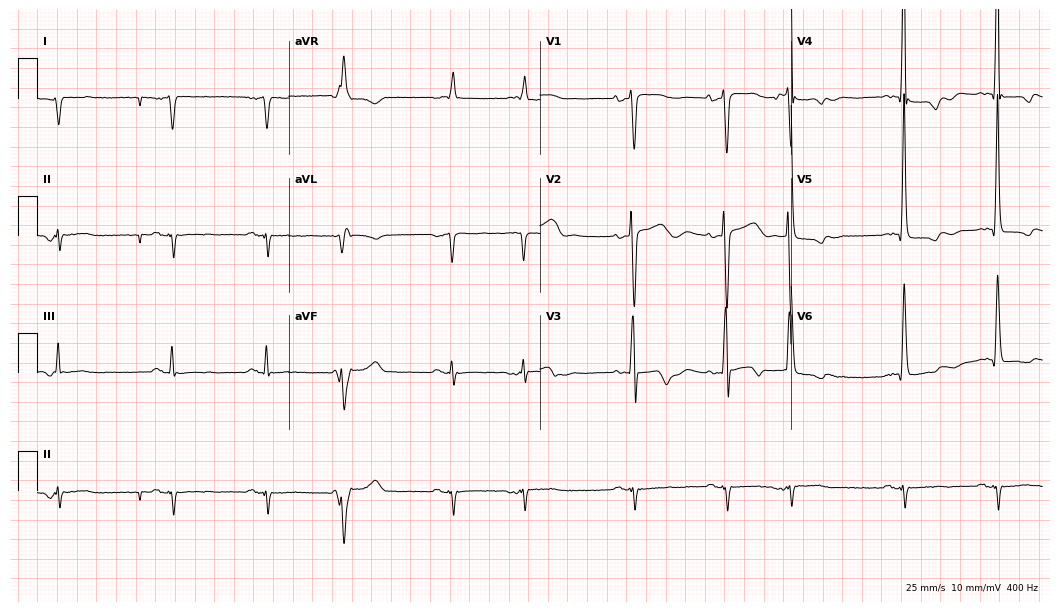
12-lead ECG from a man, 83 years old. No first-degree AV block, right bundle branch block, left bundle branch block, sinus bradycardia, atrial fibrillation or sinus tachycardia recorded for this tracing. Findings outside these six are not listed.